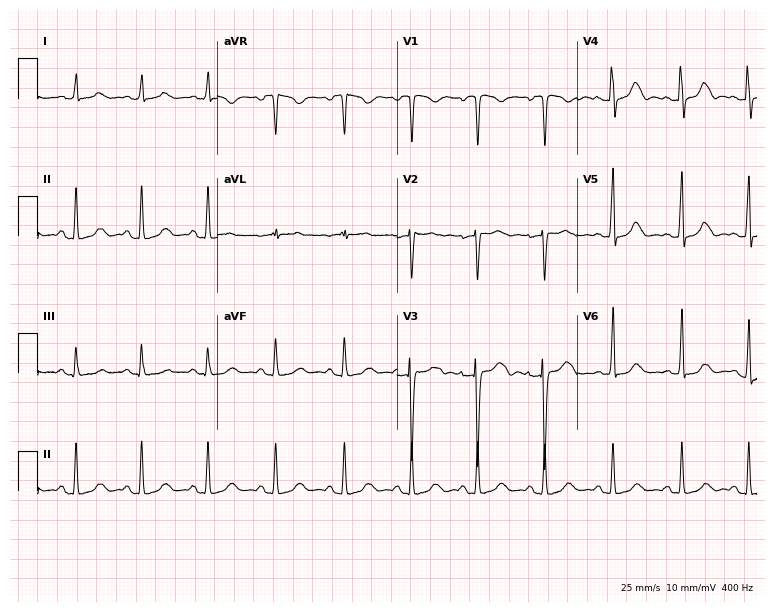
12-lead ECG (7.3-second recording at 400 Hz) from a female, 34 years old. Labelled as a normal ECG.